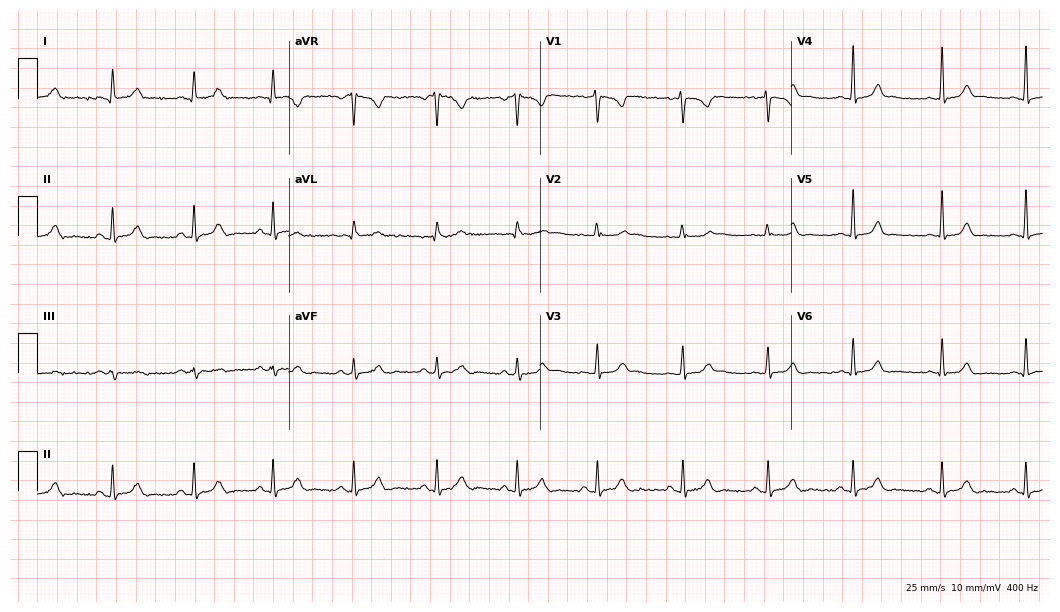
ECG (10.2-second recording at 400 Hz) — a female patient, 20 years old. Screened for six findings — first-degree AV block, right bundle branch block (RBBB), left bundle branch block (LBBB), sinus bradycardia, atrial fibrillation (AF), sinus tachycardia — none is recorded.